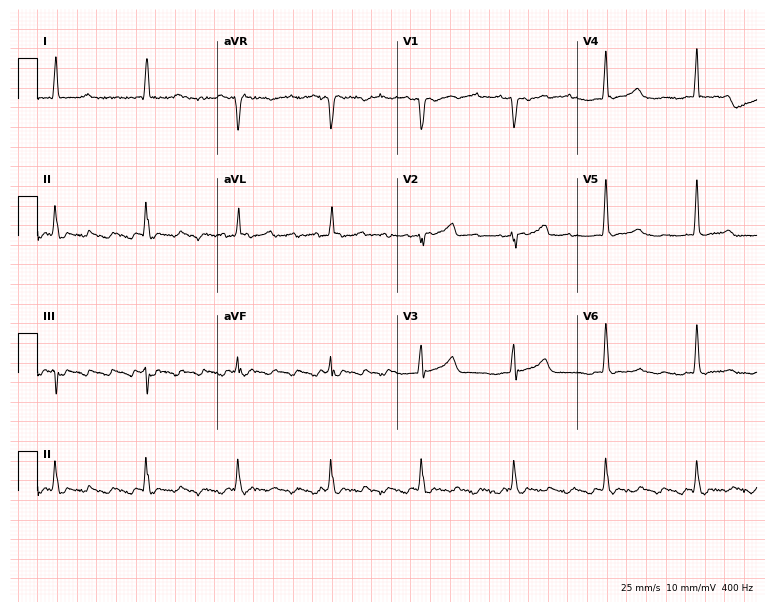
Resting 12-lead electrocardiogram. Patient: a 71-year-old male. None of these six findings is recorded: first-degree AV block, right bundle branch block, left bundle branch block, sinus bradycardia, atrial fibrillation, sinus tachycardia.